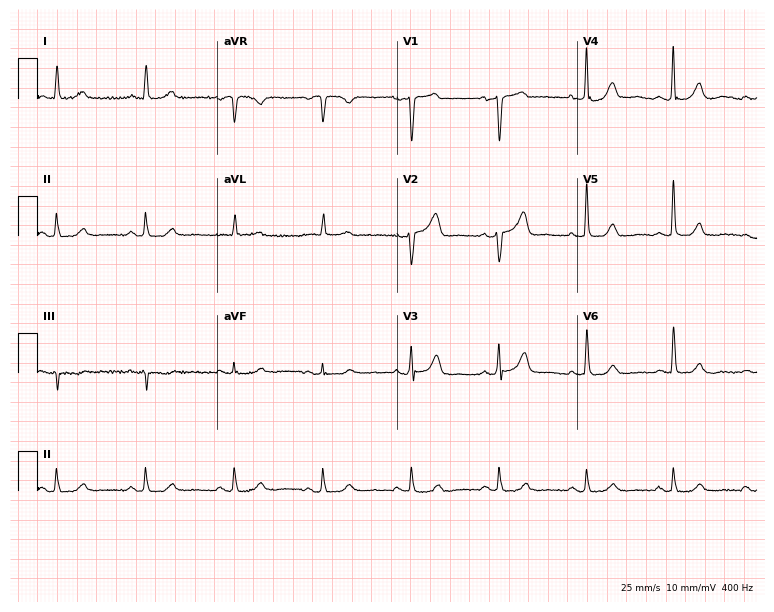
ECG — a man, 81 years old. Labelled as a normal ECG.